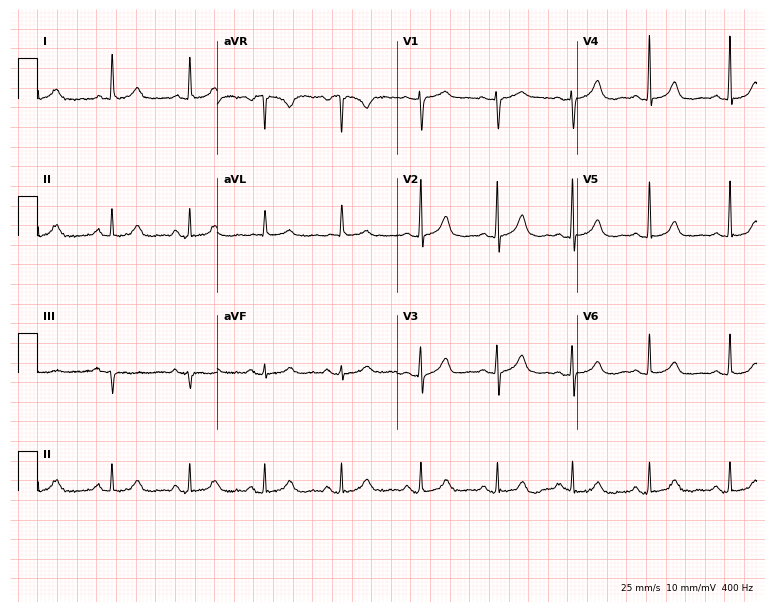
12-lead ECG from a 67-year-old woman (7.3-second recording at 400 Hz). Recorded interpretation: within normal limits.